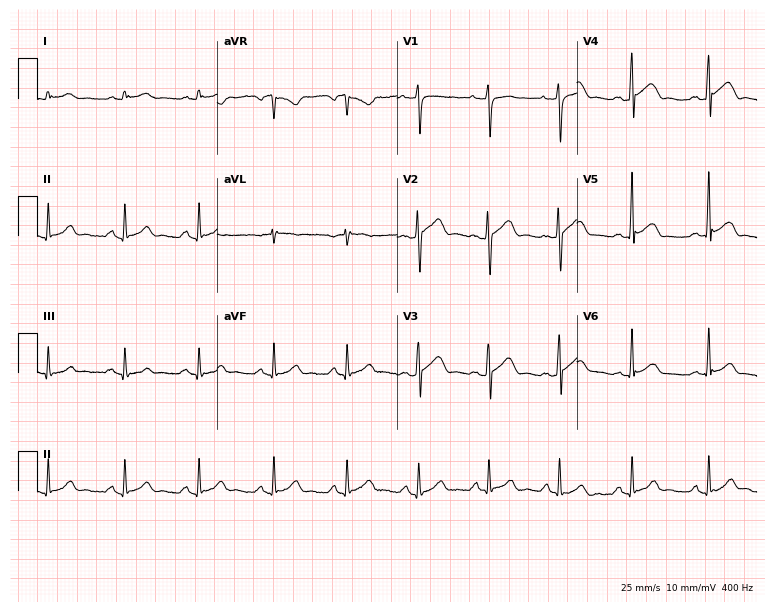
ECG — a man, 33 years old. Screened for six findings — first-degree AV block, right bundle branch block, left bundle branch block, sinus bradycardia, atrial fibrillation, sinus tachycardia — none is recorded. Other findings, if any, are not listed.